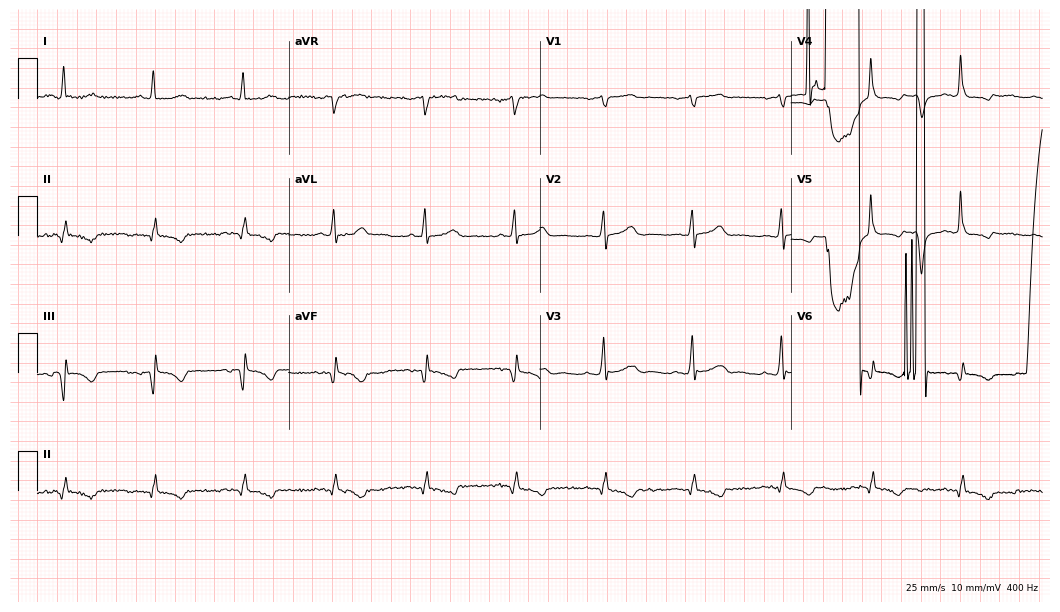
Electrocardiogram, a man, 63 years old. Of the six screened findings (first-degree AV block, right bundle branch block (RBBB), left bundle branch block (LBBB), sinus bradycardia, atrial fibrillation (AF), sinus tachycardia), none is recorded.